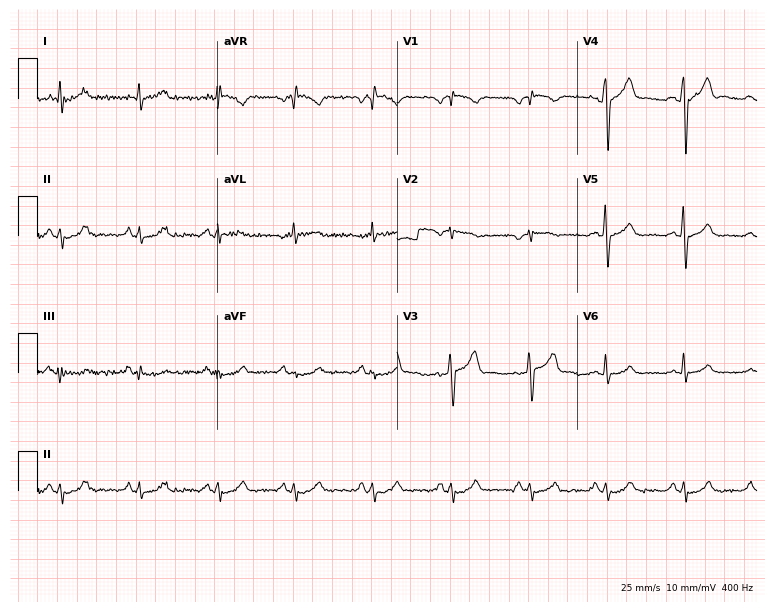
12-lead ECG from a male, 39 years old. Labelled as a normal ECG.